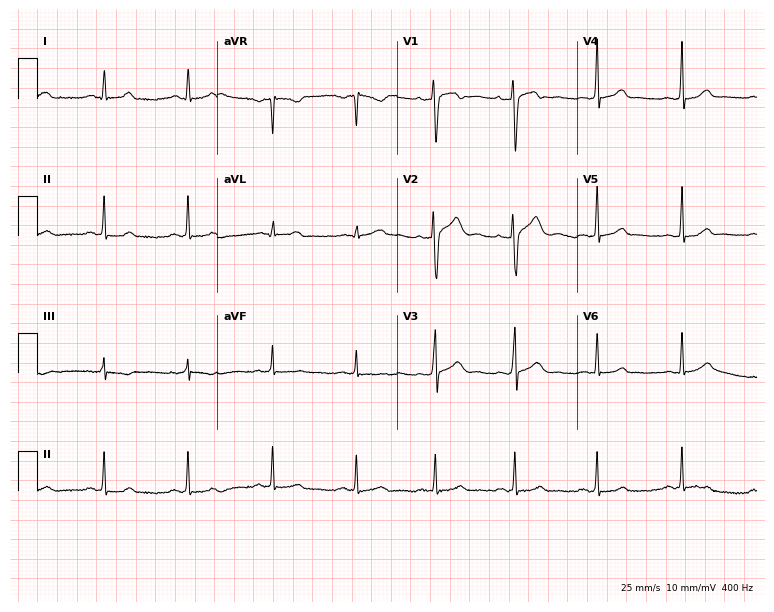
12-lead ECG from a 35-year-old female patient. No first-degree AV block, right bundle branch block, left bundle branch block, sinus bradycardia, atrial fibrillation or sinus tachycardia recorded for this tracing. Only these six findings were labelled.